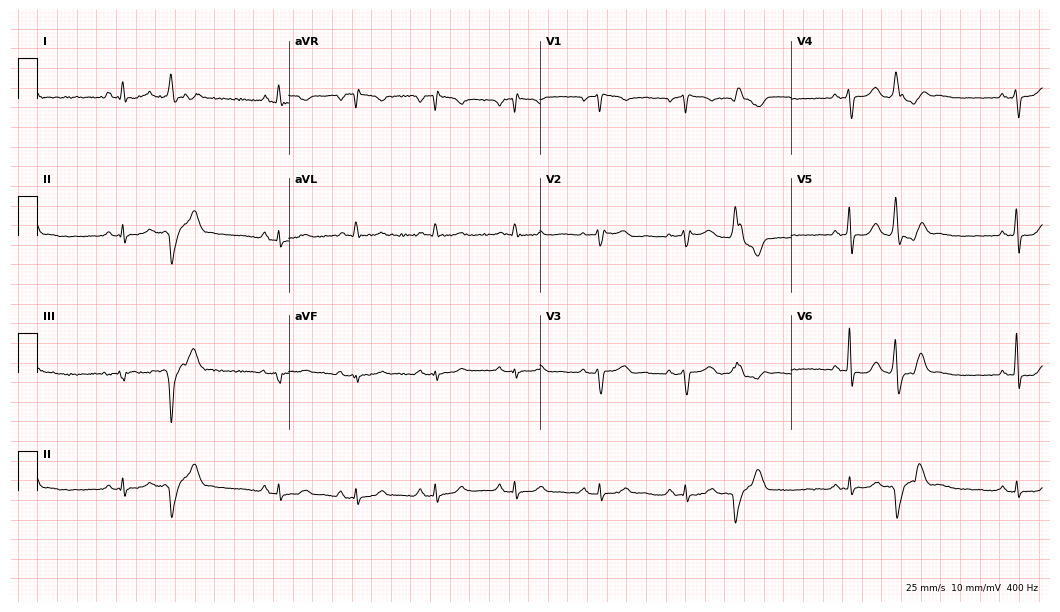
12-lead ECG from a 60-year-old female. Labelled as a normal ECG.